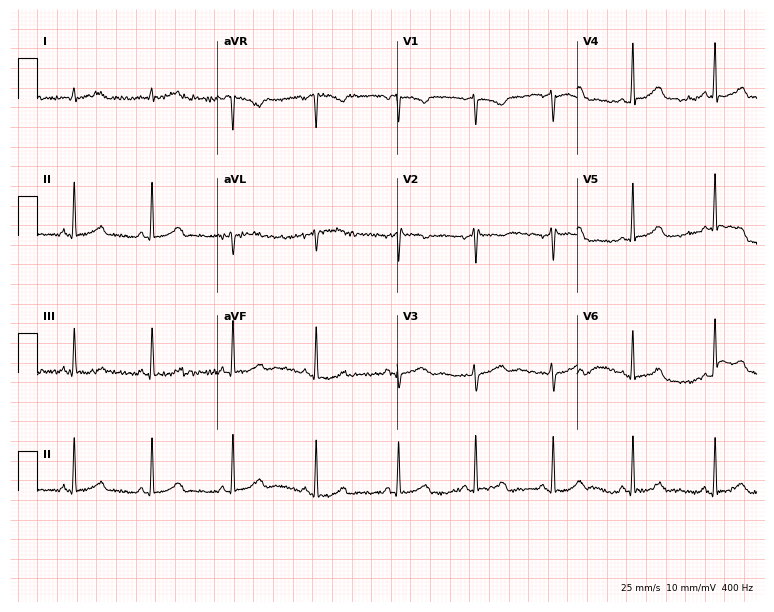
Resting 12-lead electrocardiogram. Patient: a female, 21 years old. Read as a normal ECG.